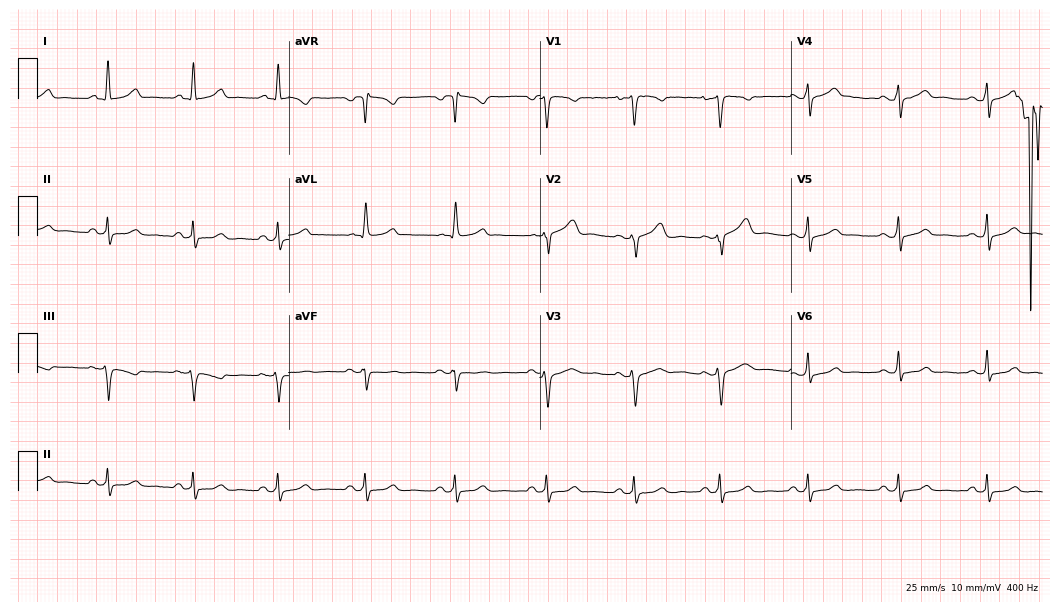
ECG (10.2-second recording at 400 Hz) — a 36-year-old woman. Screened for six findings — first-degree AV block, right bundle branch block, left bundle branch block, sinus bradycardia, atrial fibrillation, sinus tachycardia — none is recorded.